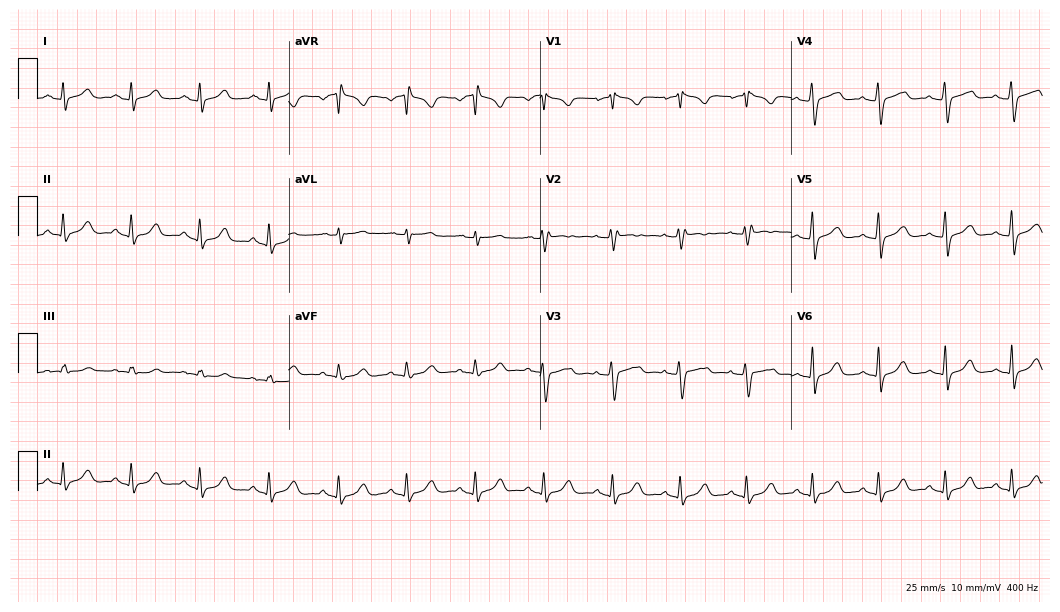
ECG (10.2-second recording at 400 Hz) — a female patient, 44 years old. Screened for six findings — first-degree AV block, right bundle branch block (RBBB), left bundle branch block (LBBB), sinus bradycardia, atrial fibrillation (AF), sinus tachycardia — none is recorded.